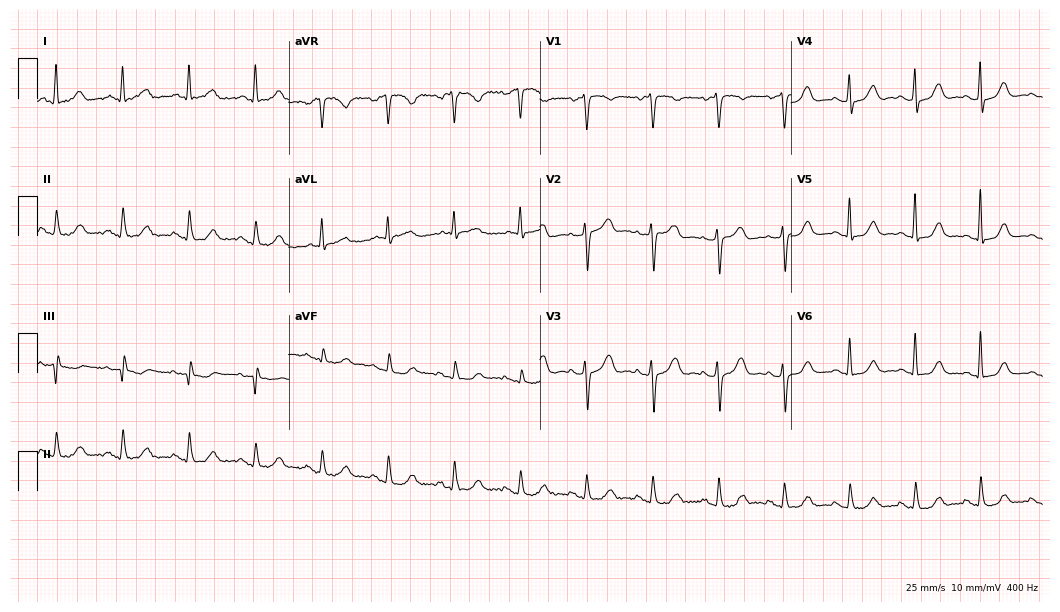
12-lead ECG from an 84-year-old woman. Recorded interpretation: within normal limits.